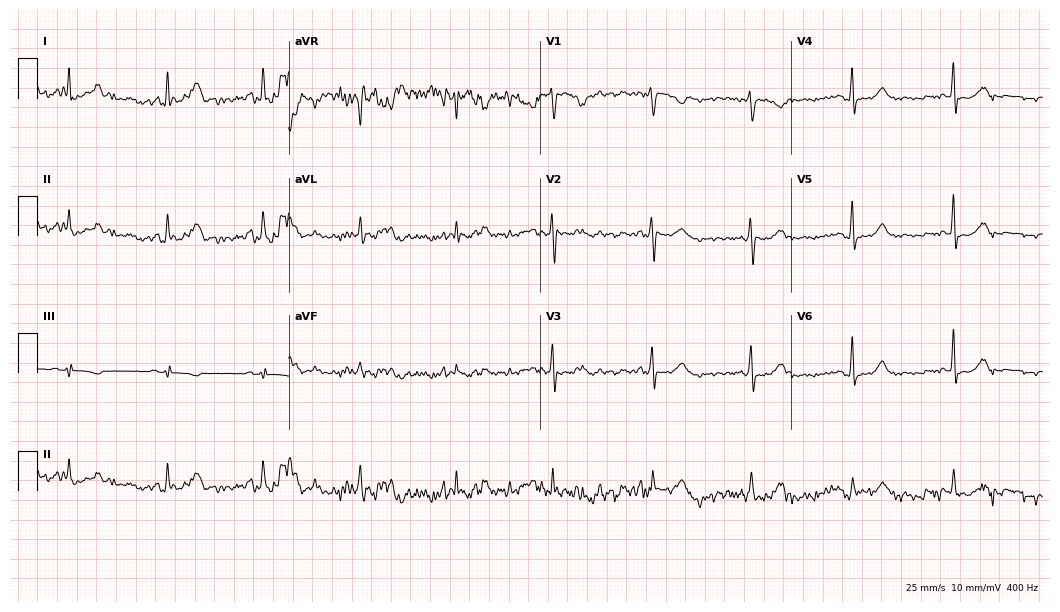
12-lead ECG (10.2-second recording at 400 Hz) from a woman, 55 years old. Labelled as a normal ECG.